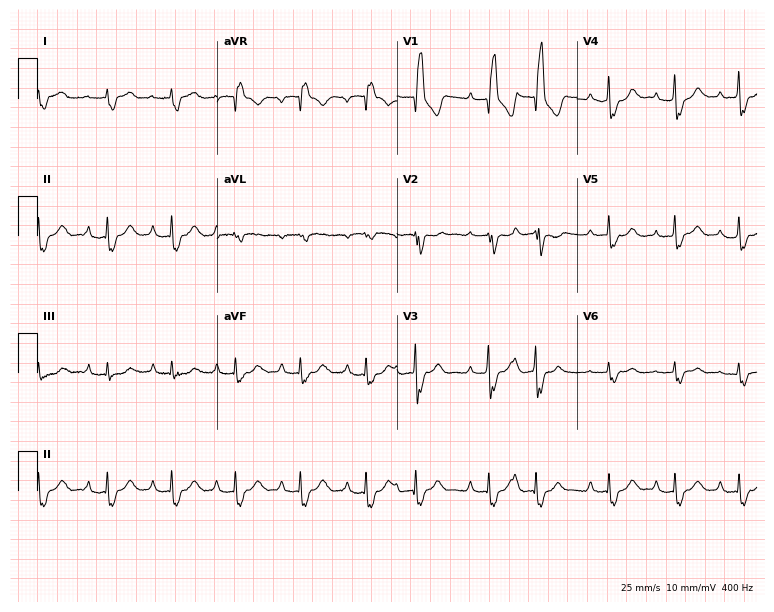
Resting 12-lead electrocardiogram. Patient: a male, 76 years old. The tracing shows right bundle branch block.